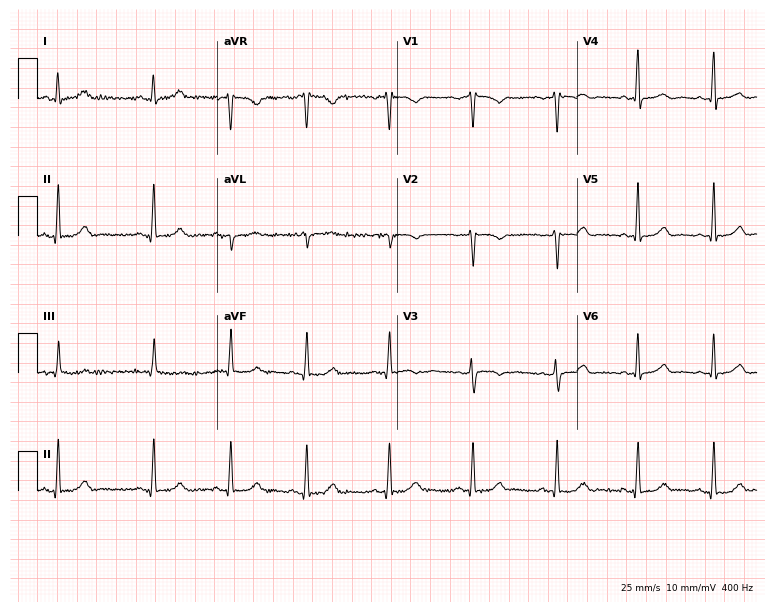
ECG (7.3-second recording at 400 Hz) — a 48-year-old female patient. Screened for six findings — first-degree AV block, right bundle branch block, left bundle branch block, sinus bradycardia, atrial fibrillation, sinus tachycardia — none is recorded.